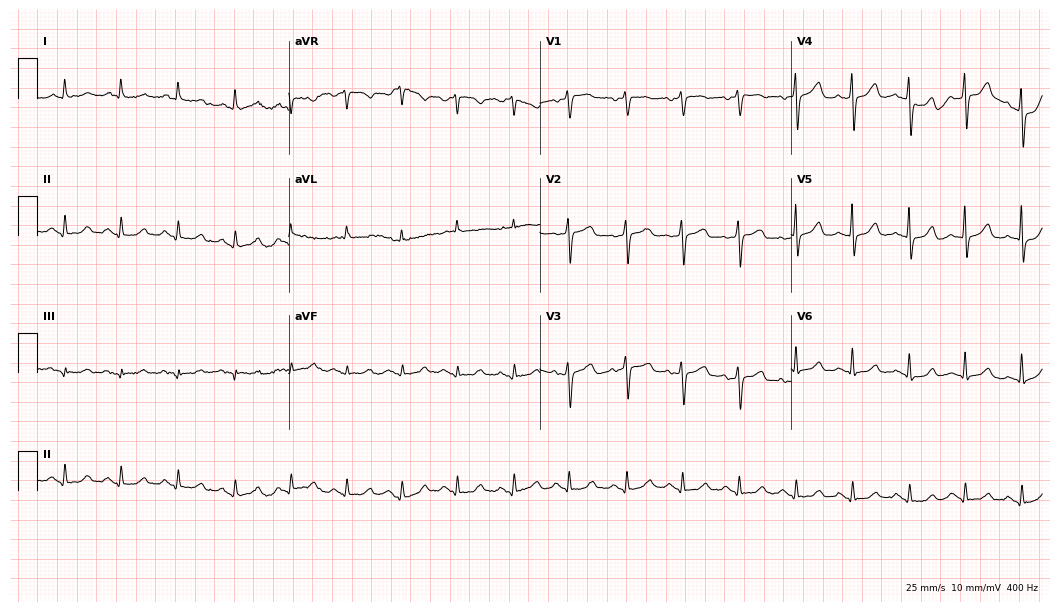
12-lead ECG from a woman, 82 years old (10.2-second recording at 400 Hz). Shows sinus tachycardia (a sinus rate of 100 beats per minute or more).